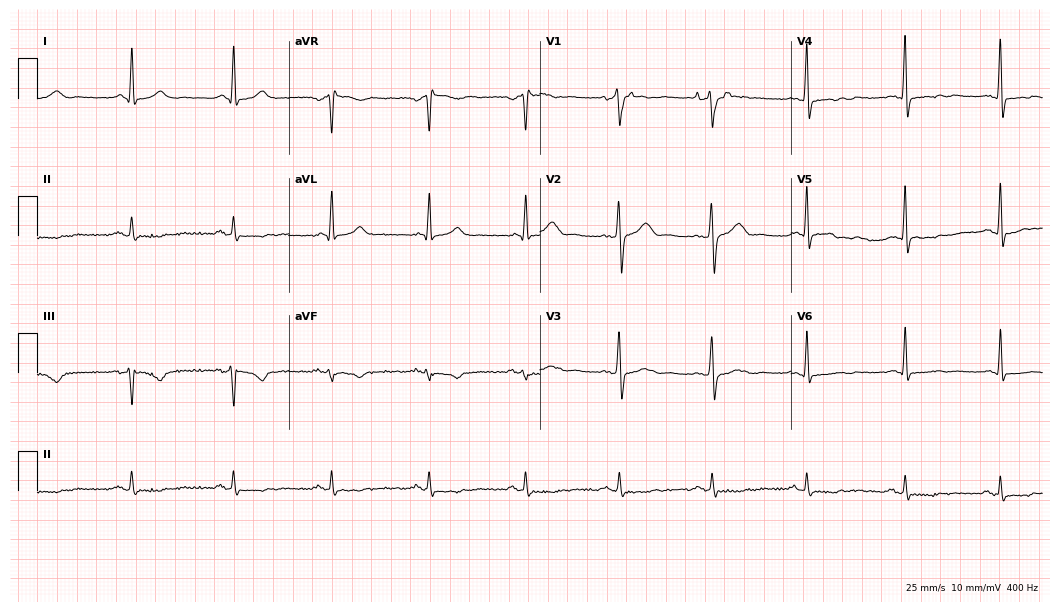
Resting 12-lead electrocardiogram (10.2-second recording at 400 Hz). Patient: a male, 39 years old. None of these six findings is recorded: first-degree AV block, right bundle branch block, left bundle branch block, sinus bradycardia, atrial fibrillation, sinus tachycardia. Only these six findings were labelled.